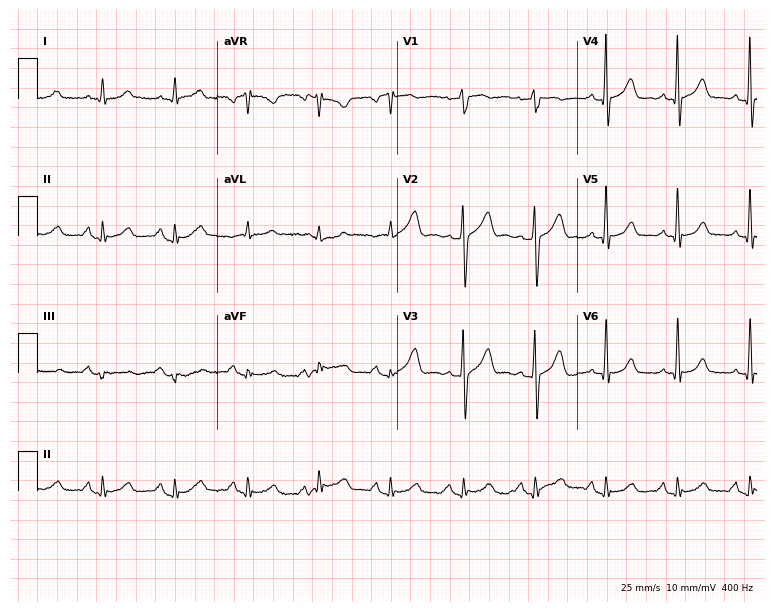
ECG (7.3-second recording at 400 Hz) — a 68-year-old male. Screened for six findings — first-degree AV block, right bundle branch block, left bundle branch block, sinus bradycardia, atrial fibrillation, sinus tachycardia — none is recorded.